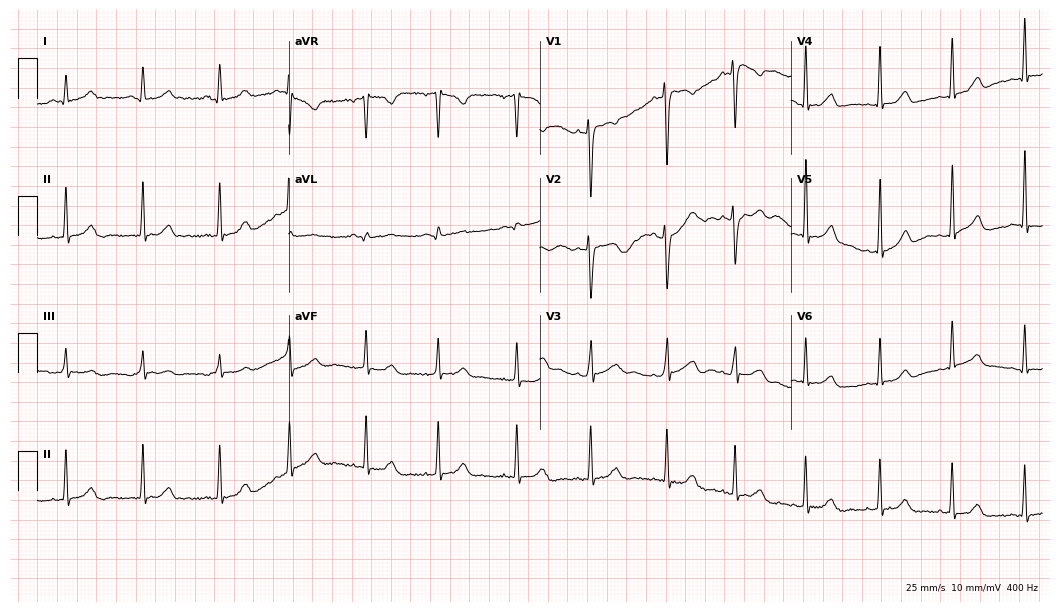
12-lead ECG from a 21-year-old female patient (10.2-second recording at 400 Hz). No first-degree AV block, right bundle branch block (RBBB), left bundle branch block (LBBB), sinus bradycardia, atrial fibrillation (AF) or sinus tachycardia recorded for this tracing.